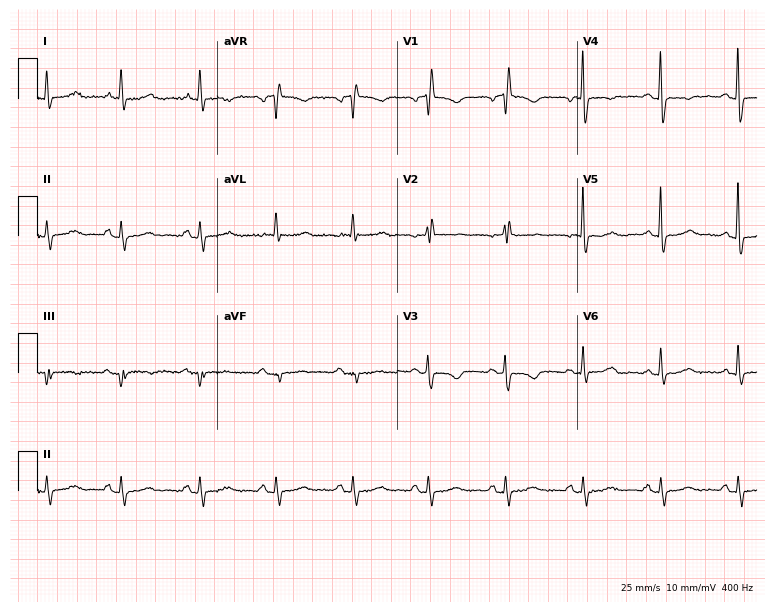
ECG — a female, 80 years old. Screened for six findings — first-degree AV block, right bundle branch block, left bundle branch block, sinus bradycardia, atrial fibrillation, sinus tachycardia — none is recorded.